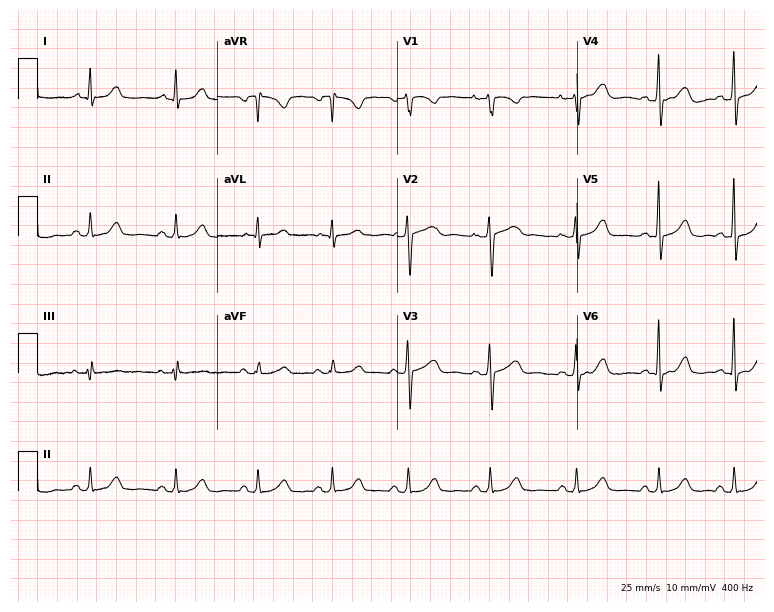
12-lead ECG from a woman, 43 years old. No first-degree AV block, right bundle branch block (RBBB), left bundle branch block (LBBB), sinus bradycardia, atrial fibrillation (AF) or sinus tachycardia recorded for this tracing.